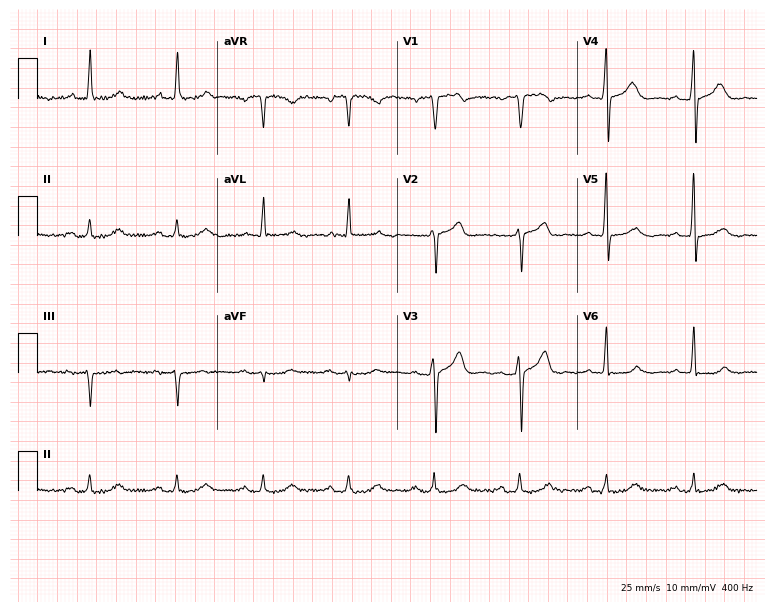
Standard 12-lead ECG recorded from a man, 74 years old (7.3-second recording at 400 Hz). None of these six findings is recorded: first-degree AV block, right bundle branch block (RBBB), left bundle branch block (LBBB), sinus bradycardia, atrial fibrillation (AF), sinus tachycardia. Other findings, if any, are not listed.